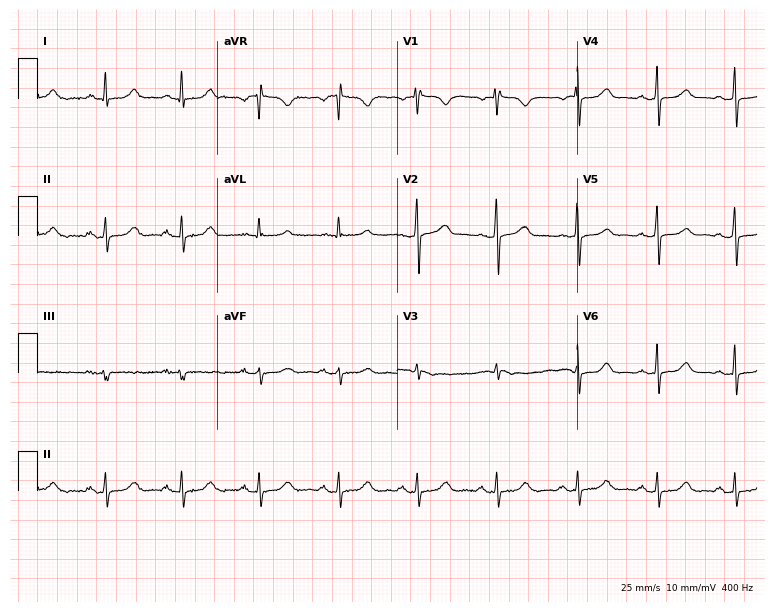
Electrocardiogram (7.3-second recording at 400 Hz), a 37-year-old female patient. Overall reading on record: normal ECG.